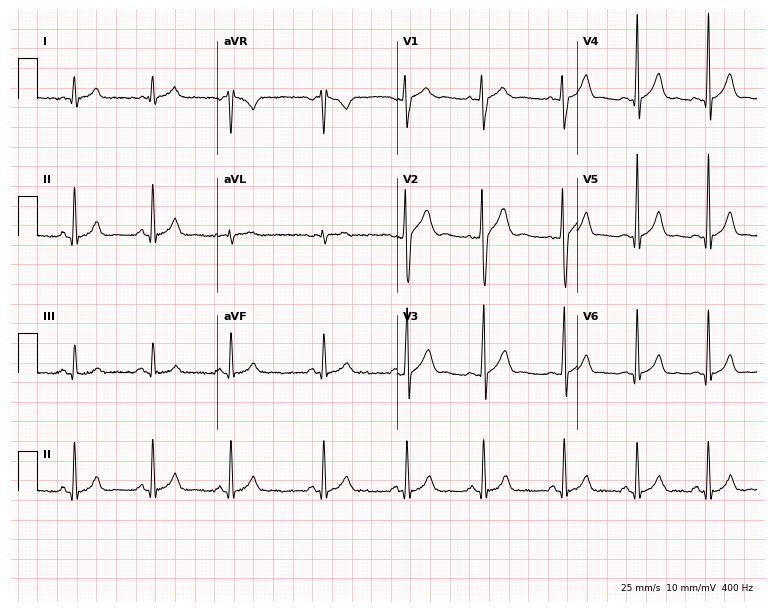
12-lead ECG from a 27-year-old male. Recorded interpretation: within normal limits.